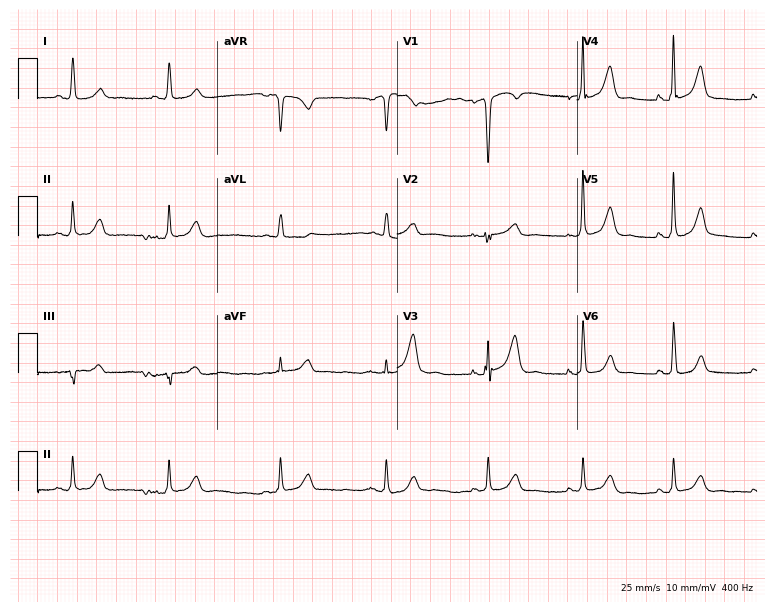
12-lead ECG (7.3-second recording at 400 Hz) from a man, 48 years old. Screened for six findings — first-degree AV block, right bundle branch block, left bundle branch block, sinus bradycardia, atrial fibrillation, sinus tachycardia — none is recorded. Findings outside these six are not listed.